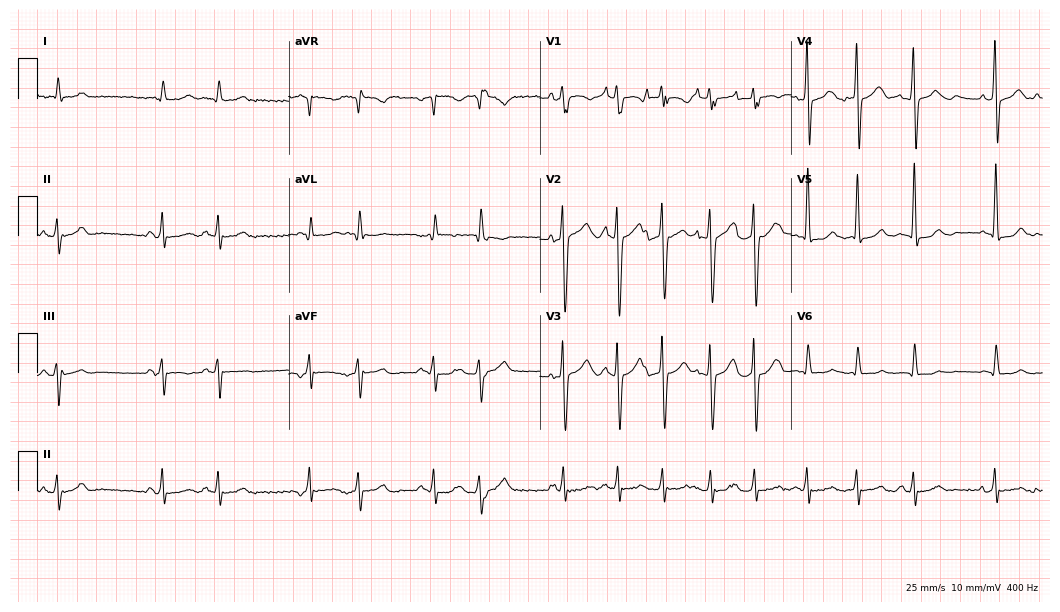
Resting 12-lead electrocardiogram (10.2-second recording at 400 Hz). Patient: an 81-year-old male. None of these six findings is recorded: first-degree AV block, right bundle branch block, left bundle branch block, sinus bradycardia, atrial fibrillation, sinus tachycardia. Other findings, if any, are not listed.